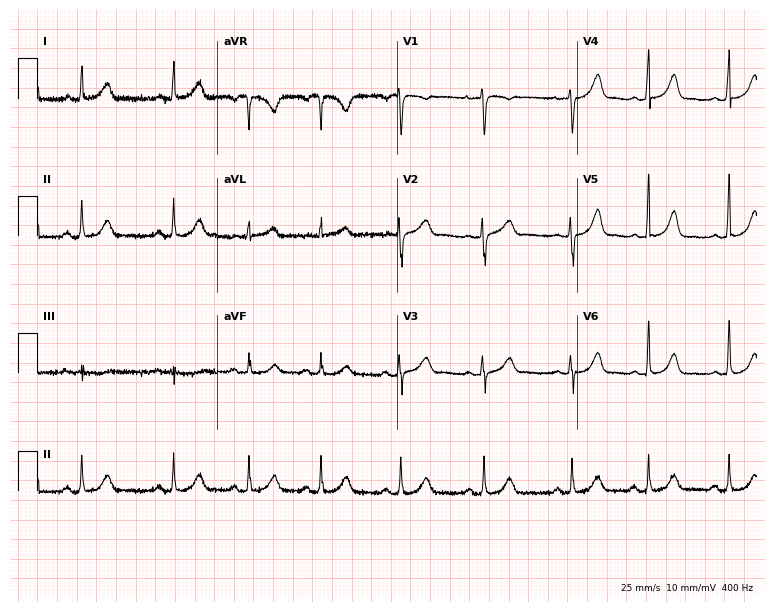
12-lead ECG from a female, 38 years old. No first-degree AV block, right bundle branch block, left bundle branch block, sinus bradycardia, atrial fibrillation or sinus tachycardia recorded for this tracing.